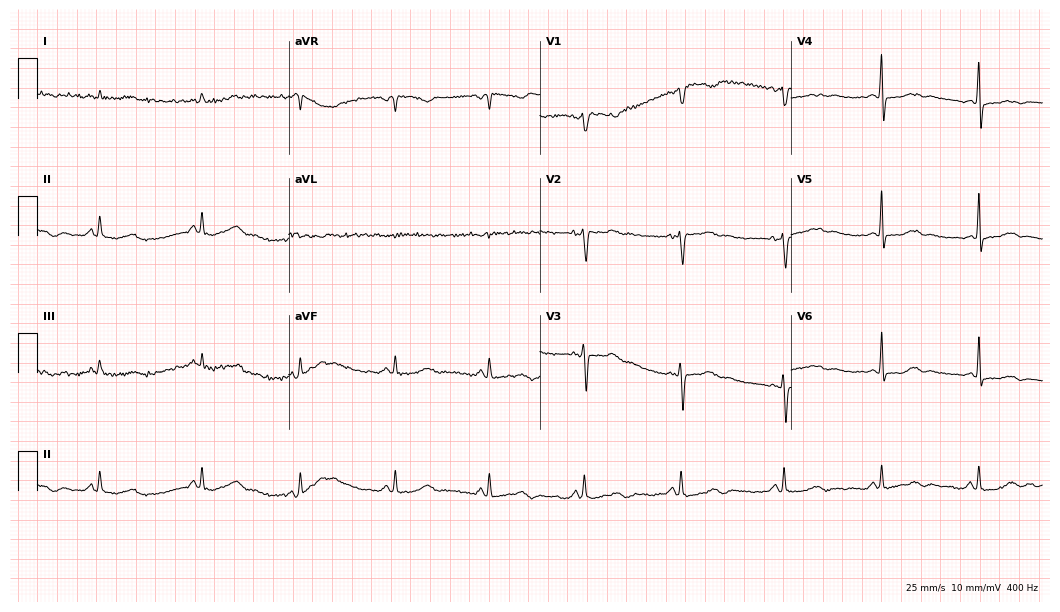
Standard 12-lead ECG recorded from a female, 63 years old. Read as a normal ECG.